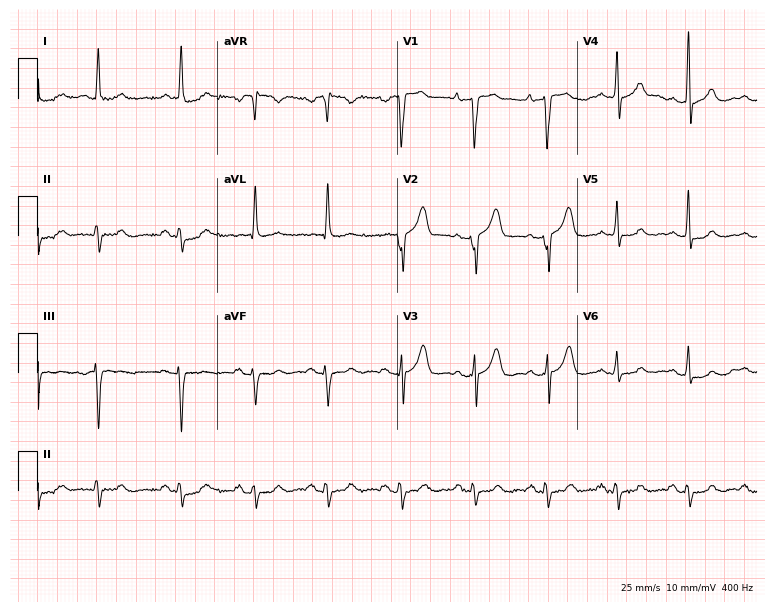
Electrocardiogram, a male, 84 years old. Of the six screened findings (first-degree AV block, right bundle branch block, left bundle branch block, sinus bradycardia, atrial fibrillation, sinus tachycardia), none is recorded.